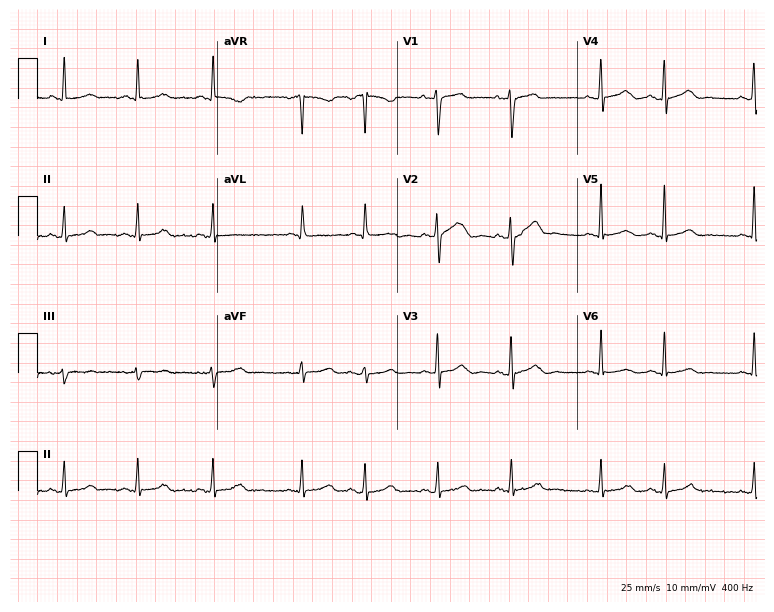
Resting 12-lead electrocardiogram (7.3-second recording at 400 Hz). Patient: a female, 64 years old. None of these six findings is recorded: first-degree AV block, right bundle branch block, left bundle branch block, sinus bradycardia, atrial fibrillation, sinus tachycardia. Findings outside these six are not listed.